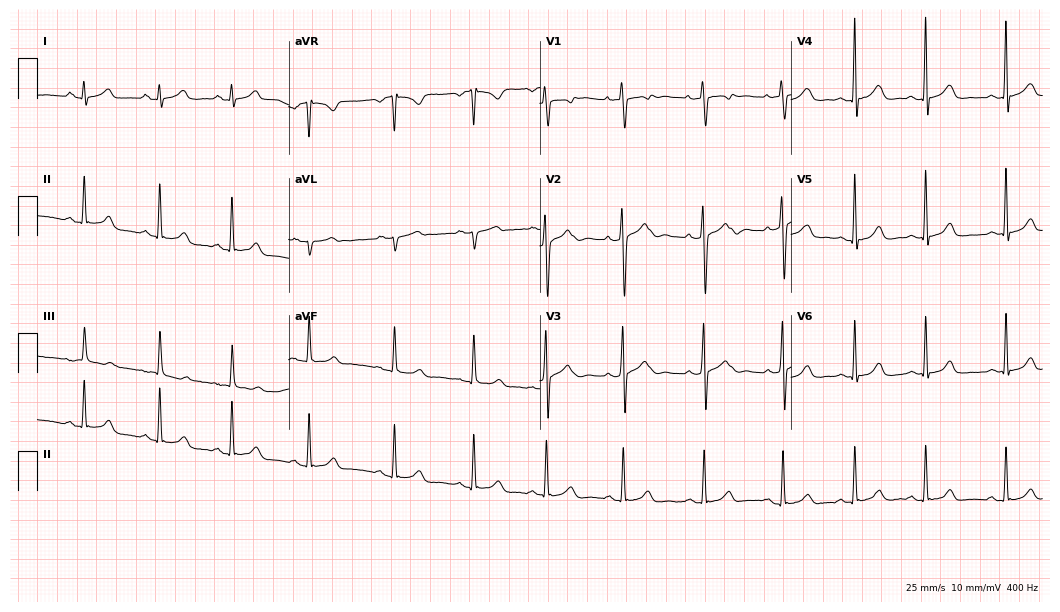
12-lead ECG from a female, 18 years old. Screened for six findings — first-degree AV block, right bundle branch block, left bundle branch block, sinus bradycardia, atrial fibrillation, sinus tachycardia — none is recorded. Only these six findings were labelled.